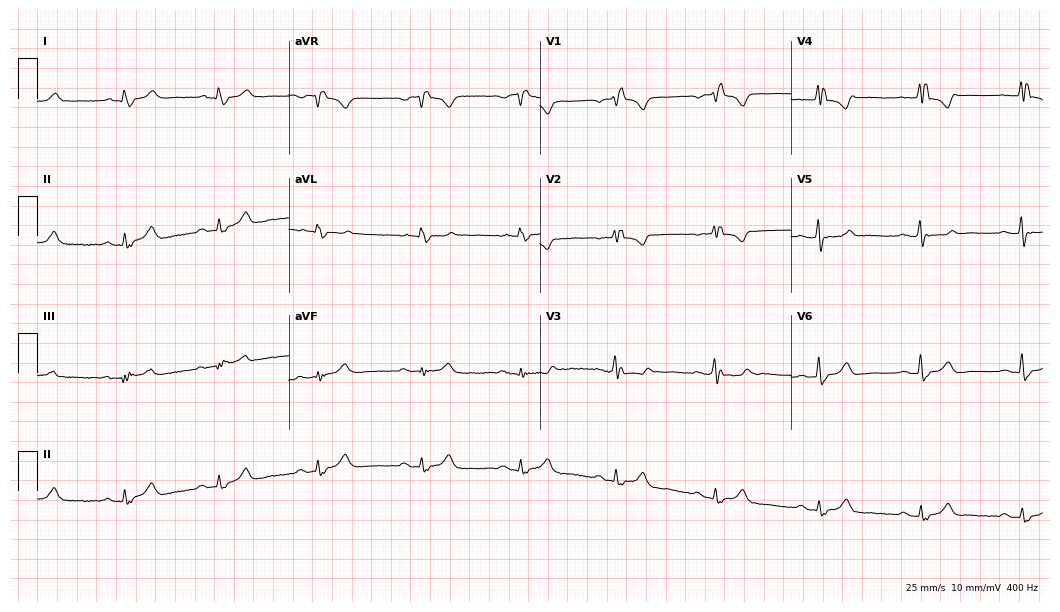
ECG — a female patient, 63 years old. Findings include right bundle branch block.